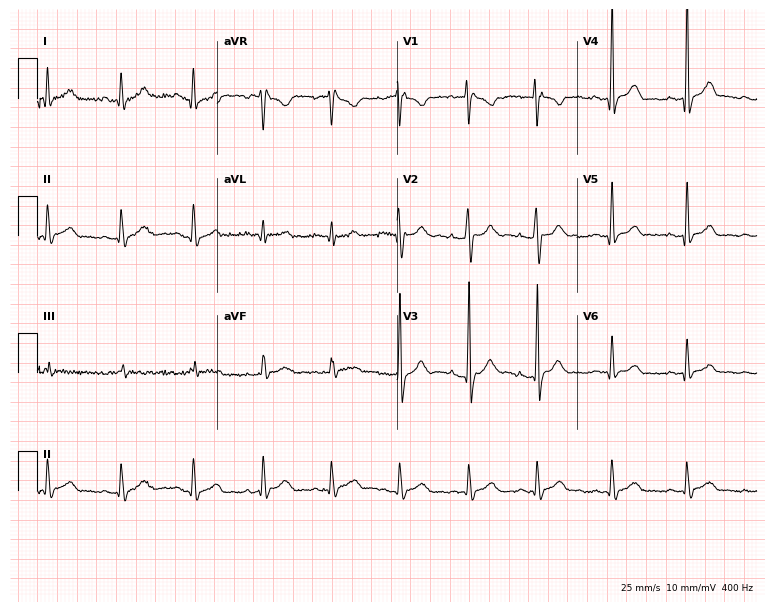
Resting 12-lead electrocardiogram (7.3-second recording at 400 Hz). Patient: a male, 25 years old. Read as a normal ECG.